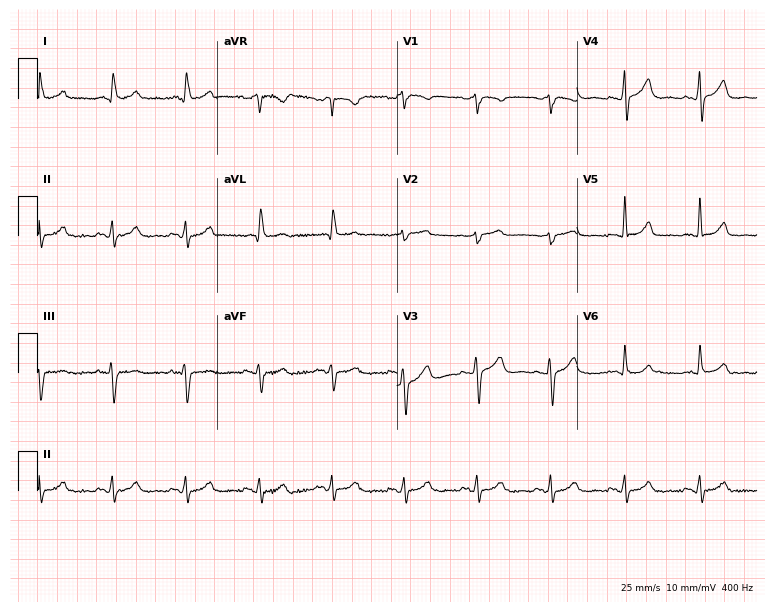
Resting 12-lead electrocardiogram. Patient: a 79-year-old female. Read as a normal ECG.